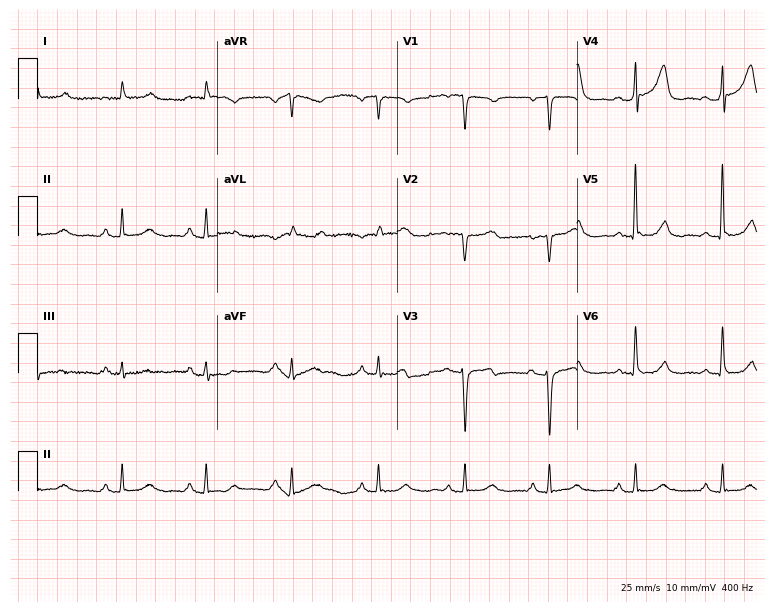
Standard 12-lead ECG recorded from a male, 69 years old. None of these six findings is recorded: first-degree AV block, right bundle branch block, left bundle branch block, sinus bradycardia, atrial fibrillation, sinus tachycardia. Other findings, if any, are not listed.